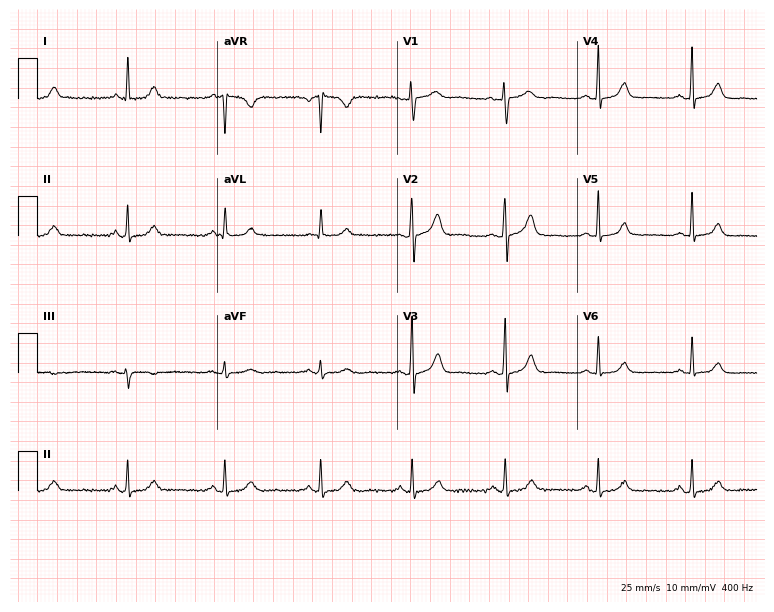
Resting 12-lead electrocardiogram (7.3-second recording at 400 Hz). Patient: a 67-year-old female. Read as a normal ECG.